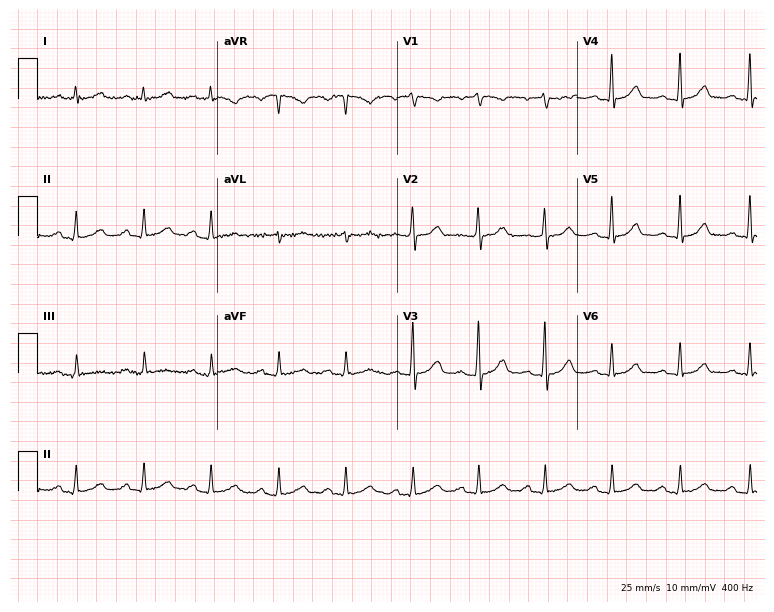
Electrocardiogram, a male, 42 years old. Overall reading on record: normal ECG.